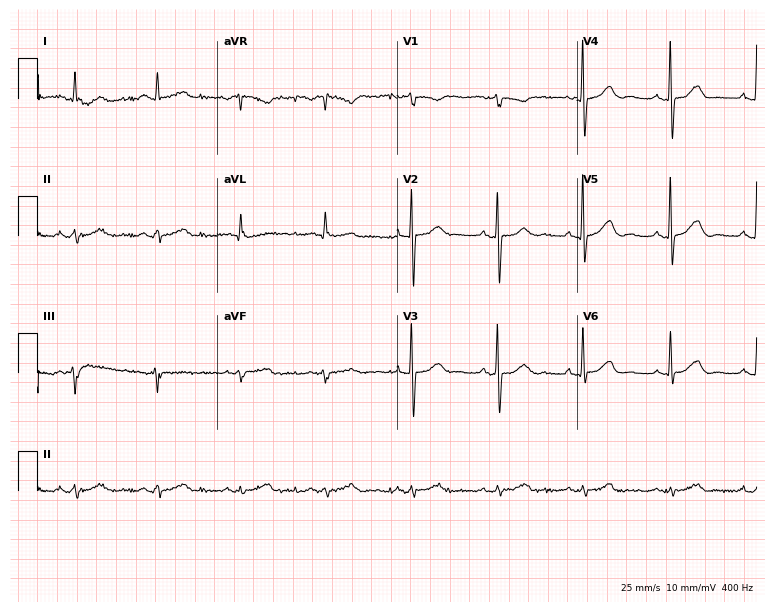
Electrocardiogram, a male patient, 73 years old. Of the six screened findings (first-degree AV block, right bundle branch block, left bundle branch block, sinus bradycardia, atrial fibrillation, sinus tachycardia), none is recorded.